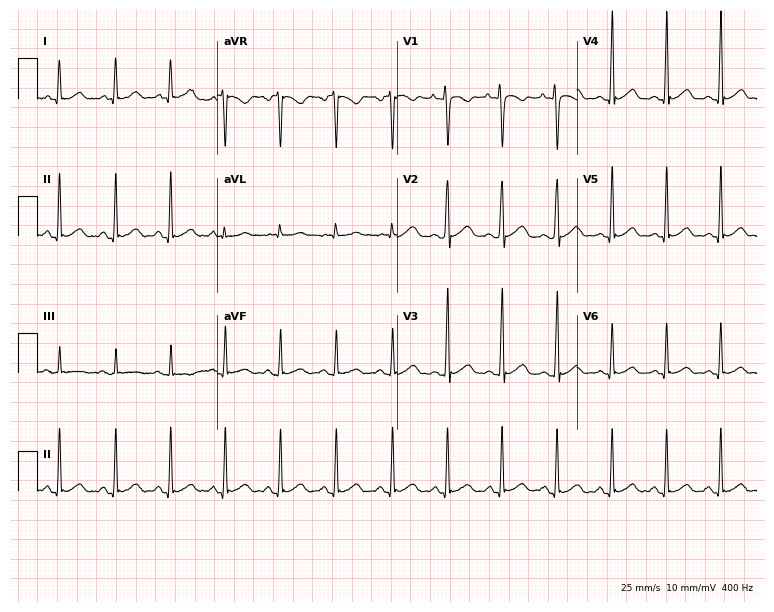
Electrocardiogram (7.3-second recording at 400 Hz), a 19-year-old female. Interpretation includes sinus tachycardia (a sinus rate of 100 beats per minute or more).